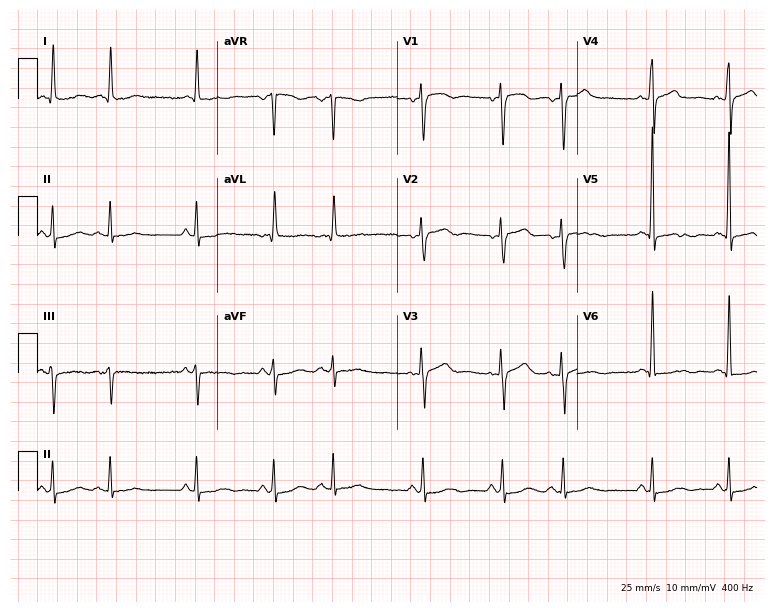
12-lead ECG from an 85-year-old man (7.3-second recording at 400 Hz). Recorded interpretation: within normal limits.